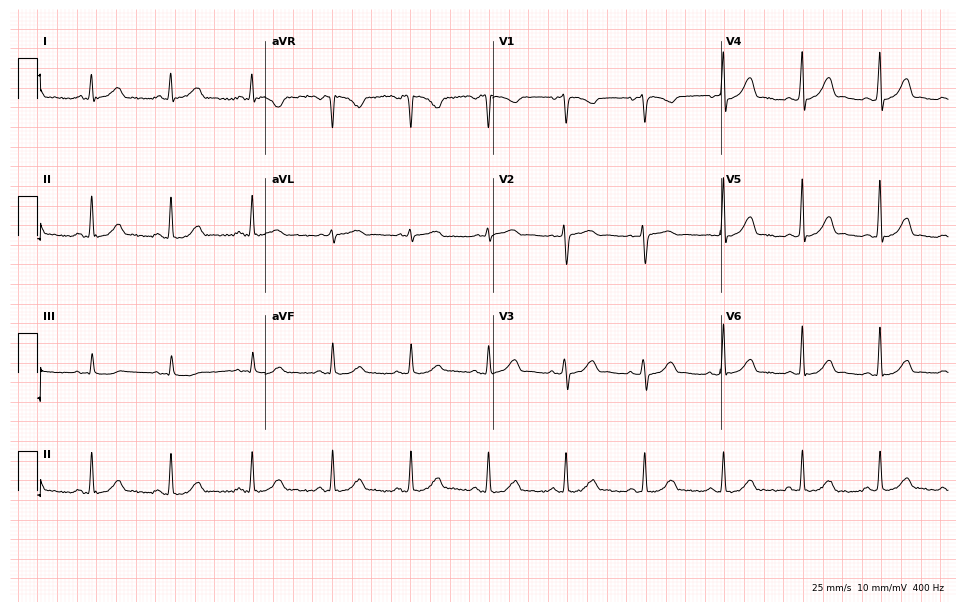
Standard 12-lead ECG recorded from a 37-year-old female (9.3-second recording at 400 Hz). Read as a normal ECG.